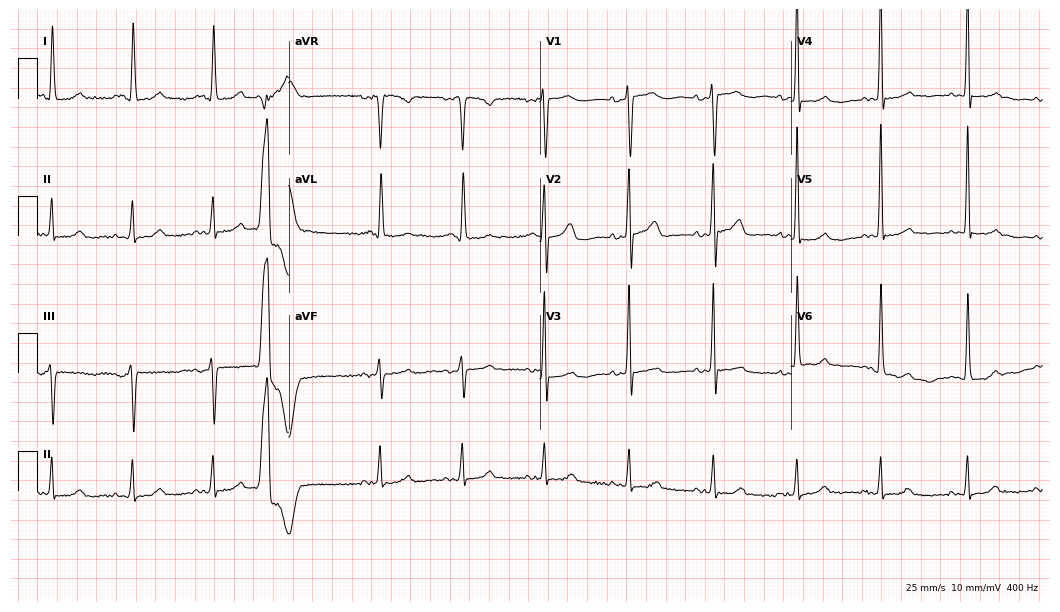
Standard 12-lead ECG recorded from a female patient, 79 years old (10.2-second recording at 400 Hz). None of these six findings is recorded: first-degree AV block, right bundle branch block (RBBB), left bundle branch block (LBBB), sinus bradycardia, atrial fibrillation (AF), sinus tachycardia. Only these six findings were labelled.